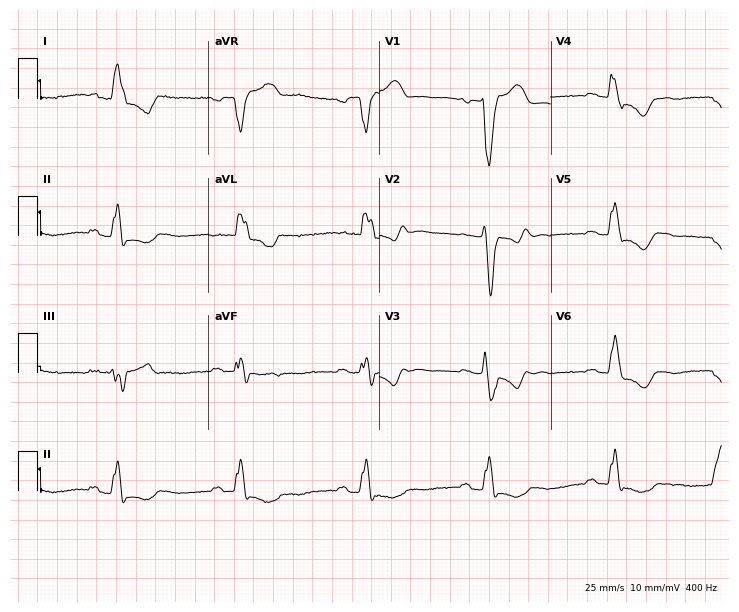
12-lead ECG from a male patient, 71 years old. Findings include first-degree AV block, left bundle branch block (LBBB), sinus bradycardia (a sinus rate of 50 beats per minute or less).